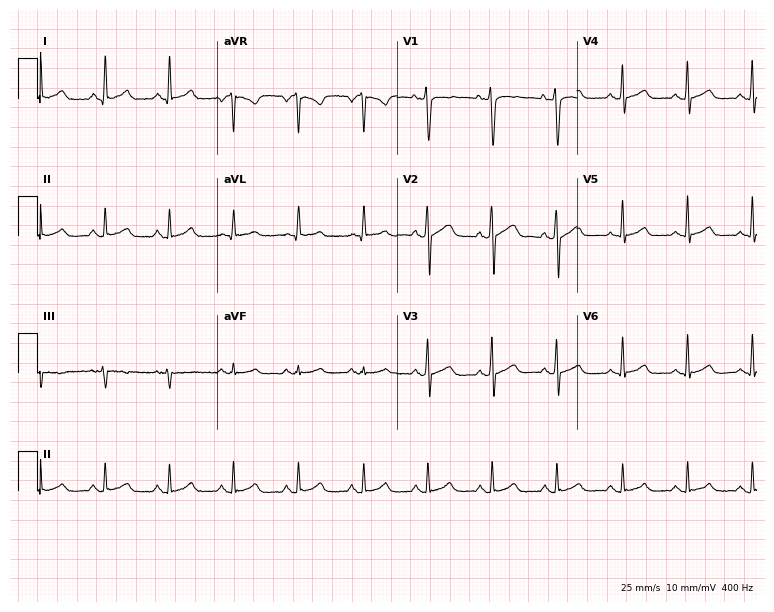
12-lead ECG from a male, 22 years old. Screened for six findings — first-degree AV block, right bundle branch block, left bundle branch block, sinus bradycardia, atrial fibrillation, sinus tachycardia — none is recorded.